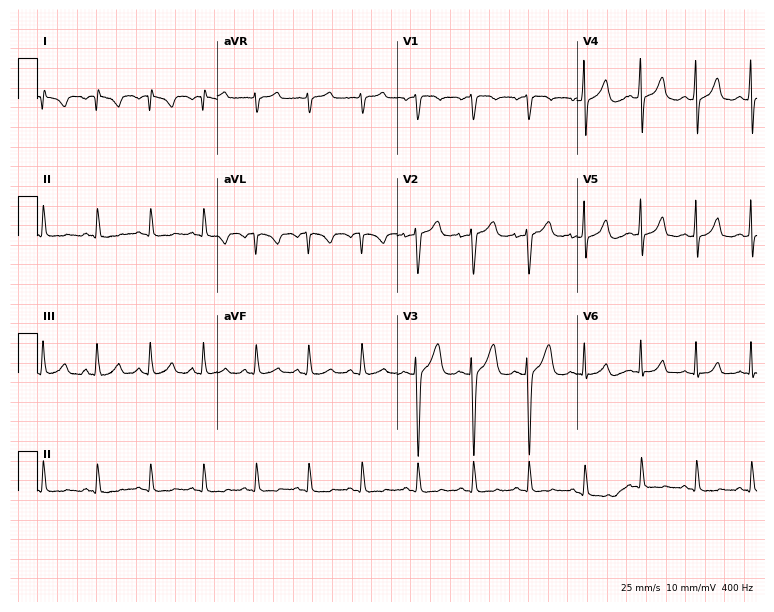
ECG — a 31-year-old woman. Screened for six findings — first-degree AV block, right bundle branch block (RBBB), left bundle branch block (LBBB), sinus bradycardia, atrial fibrillation (AF), sinus tachycardia — none is recorded. Only these six findings were labelled.